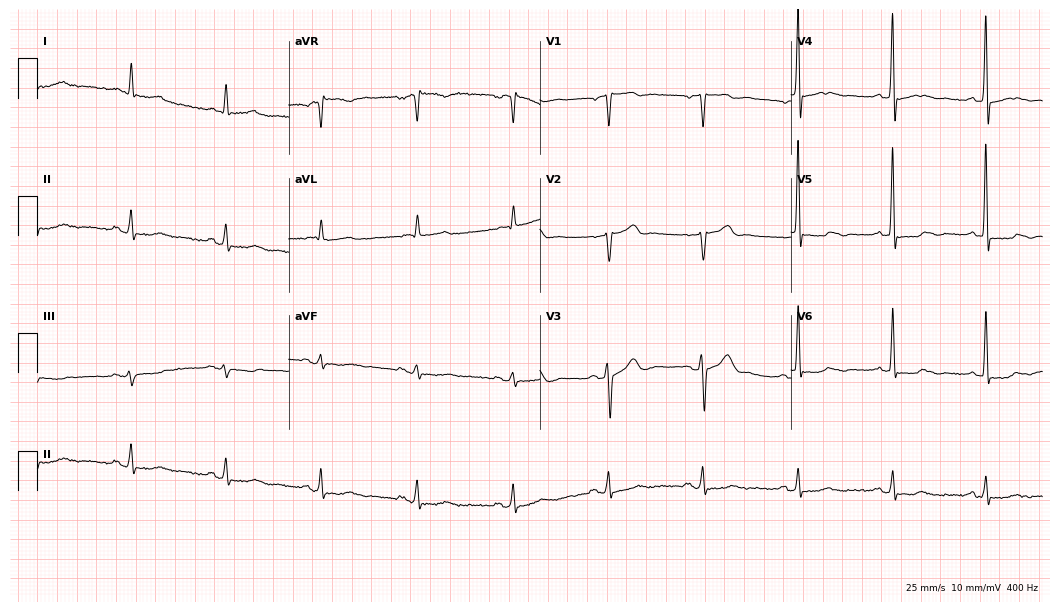
Electrocardiogram, a 61-year-old male patient. Of the six screened findings (first-degree AV block, right bundle branch block, left bundle branch block, sinus bradycardia, atrial fibrillation, sinus tachycardia), none is recorded. Findings outside these six are not listed.